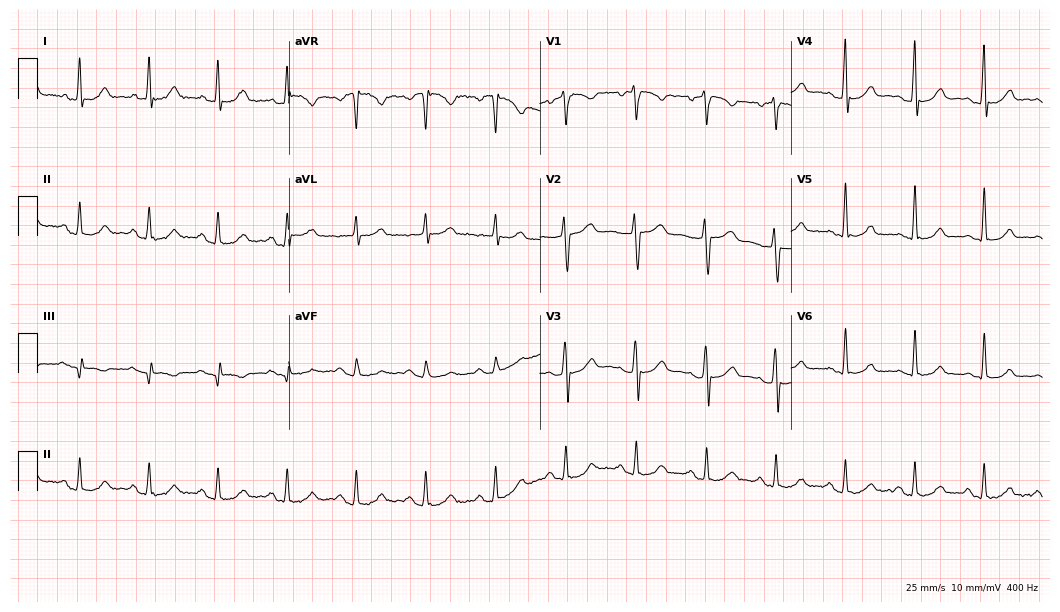
Standard 12-lead ECG recorded from a female, 57 years old. None of these six findings is recorded: first-degree AV block, right bundle branch block (RBBB), left bundle branch block (LBBB), sinus bradycardia, atrial fibrillation (AF), sinus tachycardia. Only these six findings were labelled.